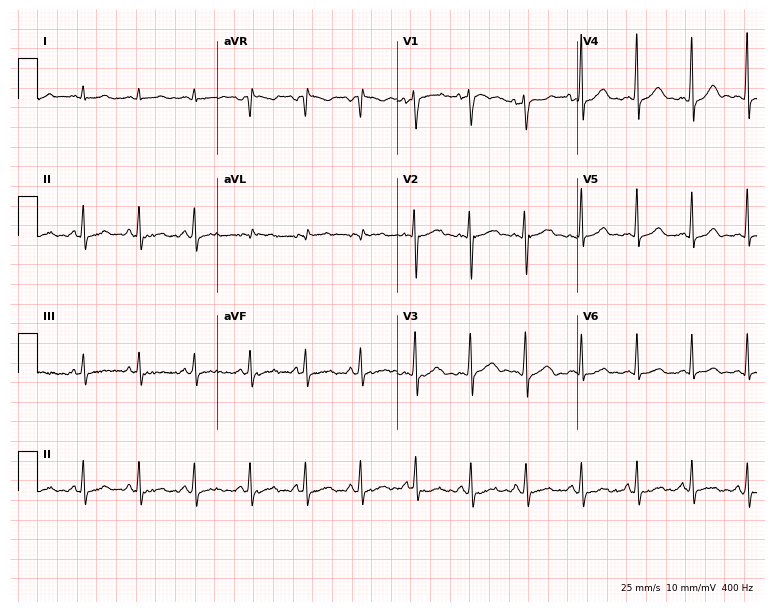
12-lead ECG from a 37-year-old male patient. No first-degree AV block, right bundle branch block, left bundle branch block, sinus bradycardia, atrial fibrillation or sinus tachycardia recorded for this tracing. Findings outside these six are not listed.